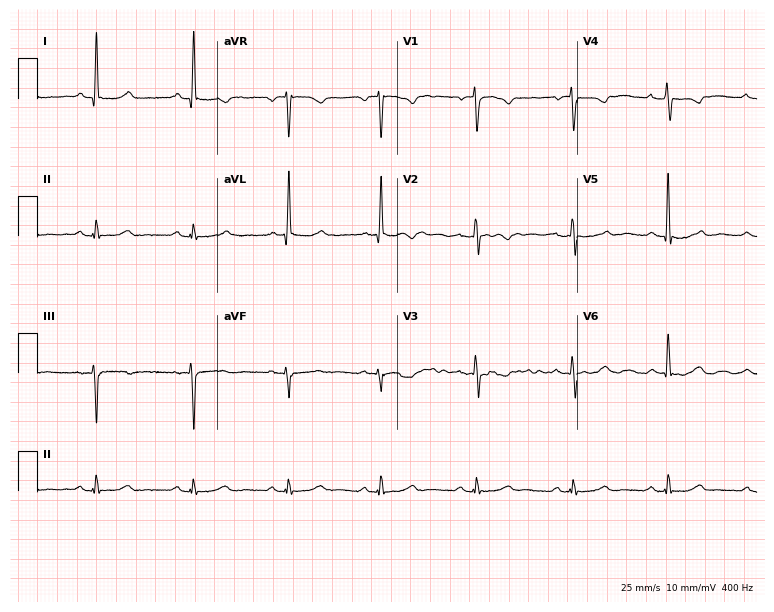
ECG (7.3-second recording at 400 Hz) — a 74-year-old female patient. Screened for six findings — first-degree AV block, right bundle branch block, left bundle branch block, sinus bradycardia, atrial fibrillation, sinus tachycardia — none is recorded. Only these six findings were labelled.